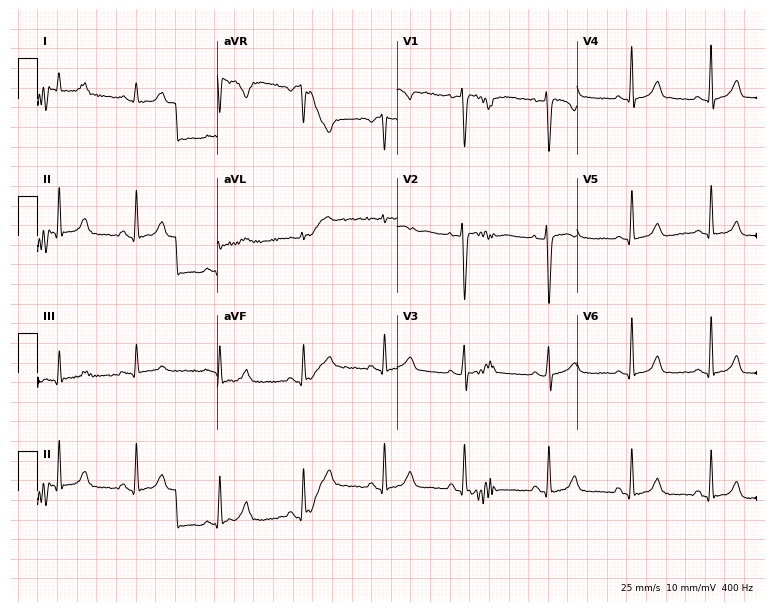
ECG (7.3-second recording at 400 Hz) — a 29-year-old female patient. Screened for six findings — first-degree AV block, right bundle branch block (RBBB), left bundle branch block (LBBB), sinus bradycardia, atrial fibrillation (AF), sinus tachycardia — none is recorded.